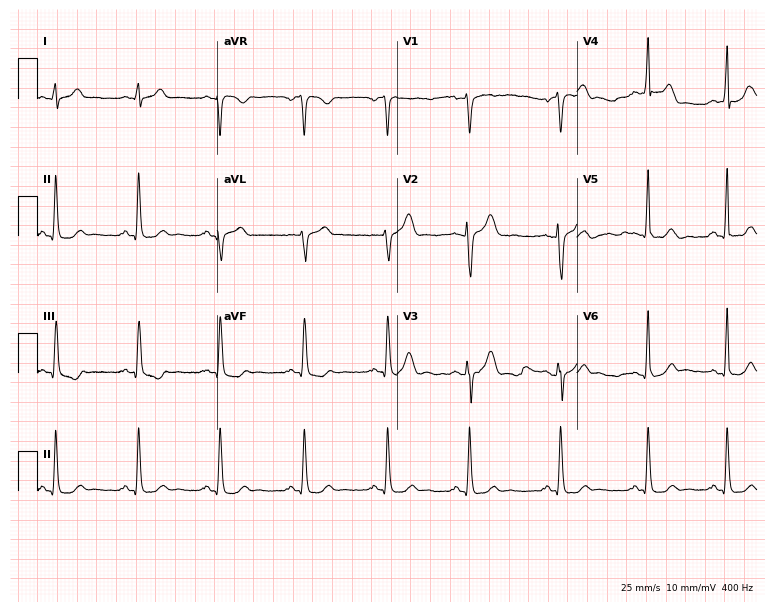
ECG (7.3-second recording at 400 Hz) — a 26-year-old male patient. Labelled as a normal ECG.